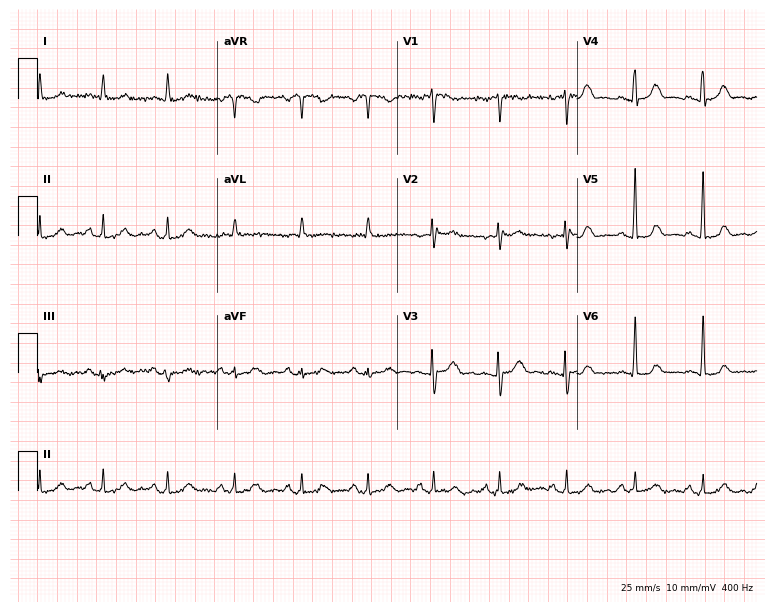
Resting 12-lead electrocardiogram. Patient: a 79-year-old woman. None of these six findings is recorded: first-degree AV block, right bundle branch block (RBBB), left bundle branch block (LBBB), sinus bradycardia, atrial fibrillation (AF), sinus tachycardia.